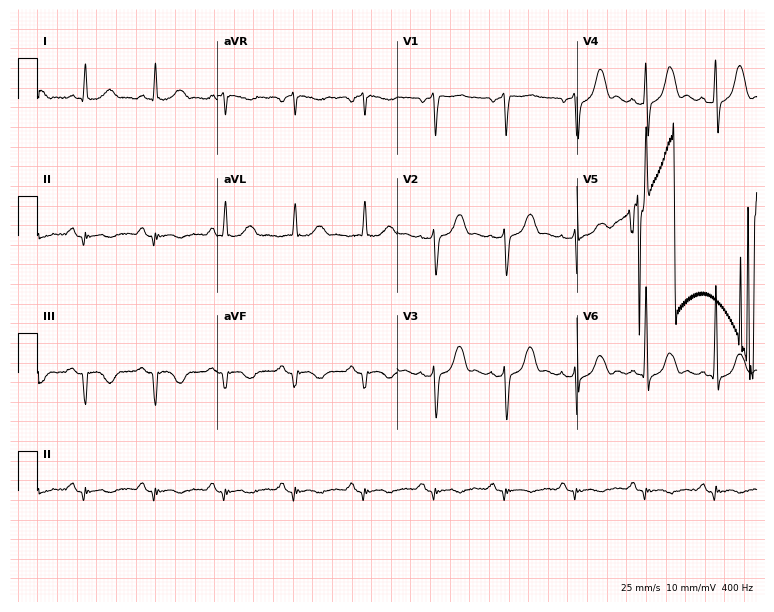
Resting 12-lead electrocardiogram. Patient: a 72-year-old male. None of these six findings is recorded: first-degree AV block, right bundle branch block, left bundle branch block, sinus bradycardia, atrial fibrillation, sinus tachycardia.